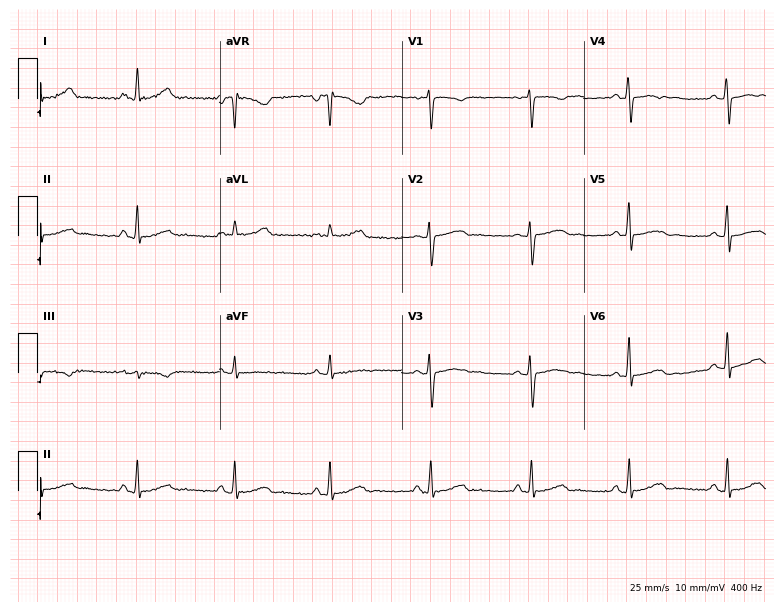
Standard 12-lead ECG recorded from a 50-year-old woman (7.4-second recording at 400 Hz). Read as a normal ECG.